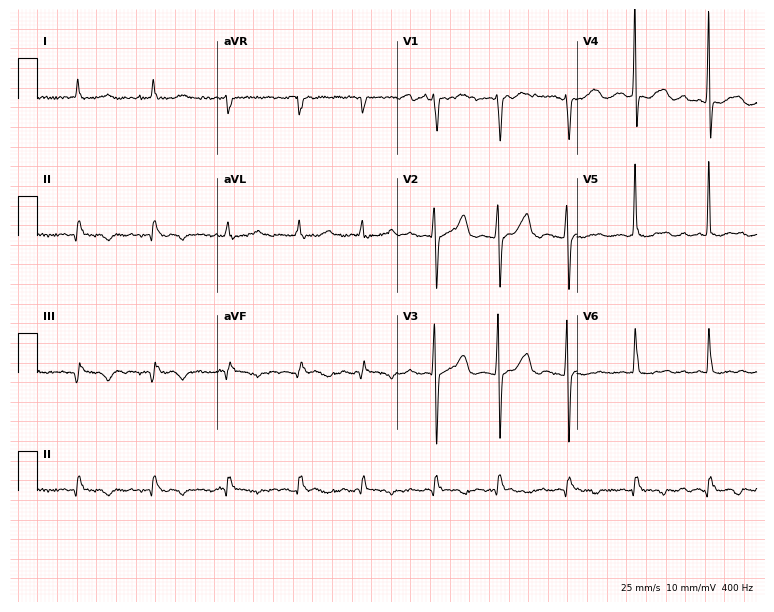
12-lead ECG from a male, 60 years old (7.3-second recording at 400 Hz). Shows atrial fibrillation (AF).